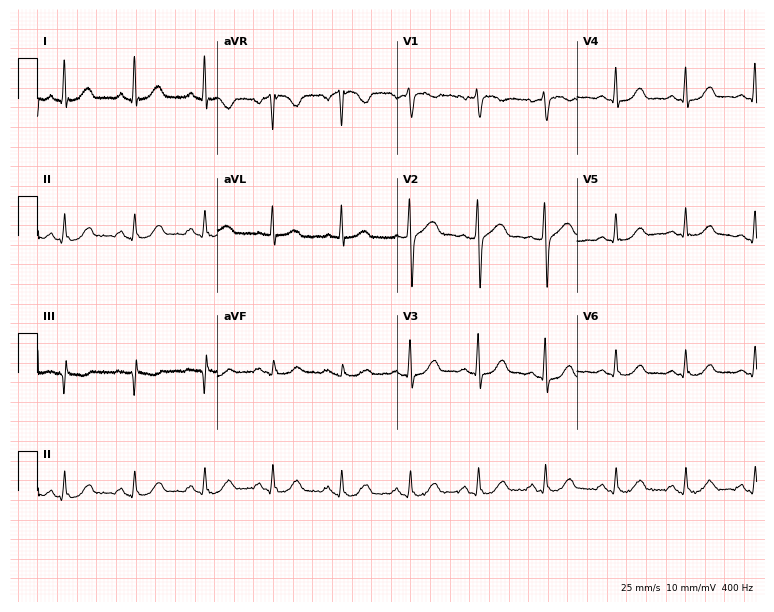
12-lead ECG from a 58-year-old female. Screened for six findings — first-degree AV block, right bundle branch block, left bundle branch block, sinus bradycardia, atrial fibrillation, sinus tachycardia — none is recorded. Findings outside these six are not listed.